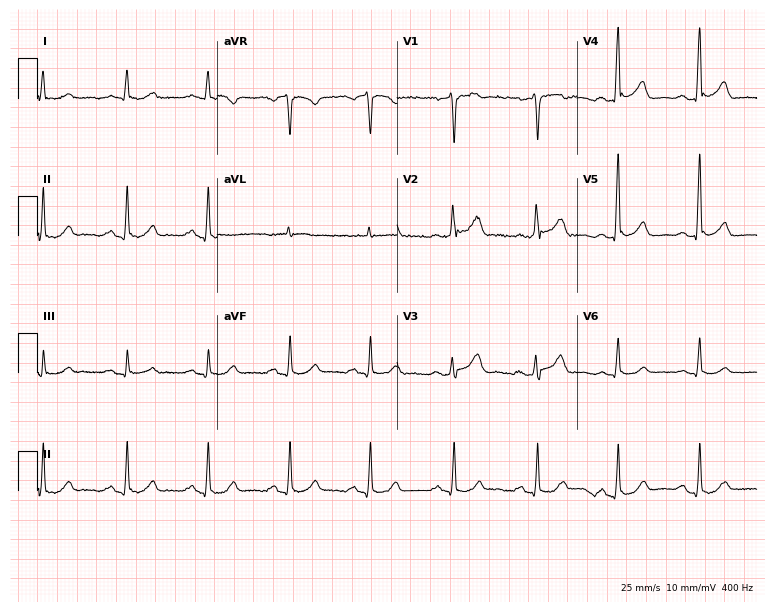
Standard 12-lead ECG recorded from a 63-year-old man (7.3-second recording at 400 Hz). Read as a normal ECG.